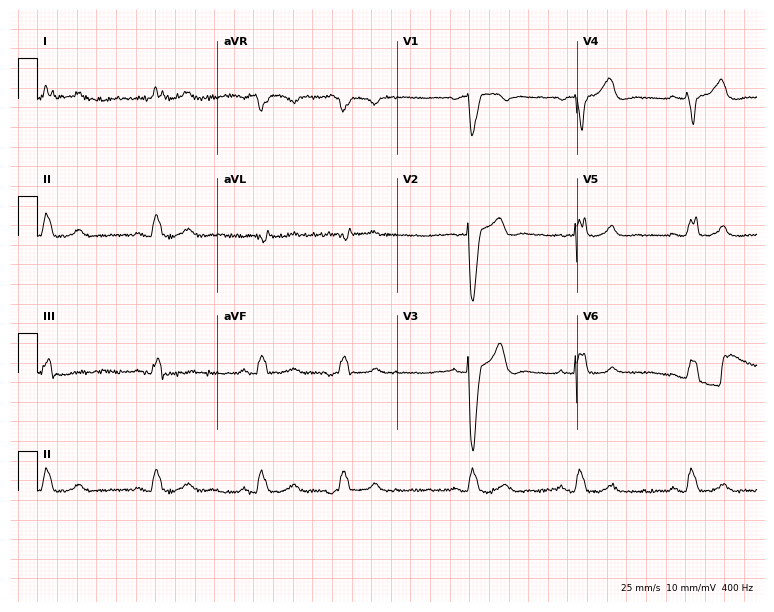
12-lead ECG from a female patient, 73 years old (7.3-second recording at 400 Hz). Shows left bundle branch block (LBBB).